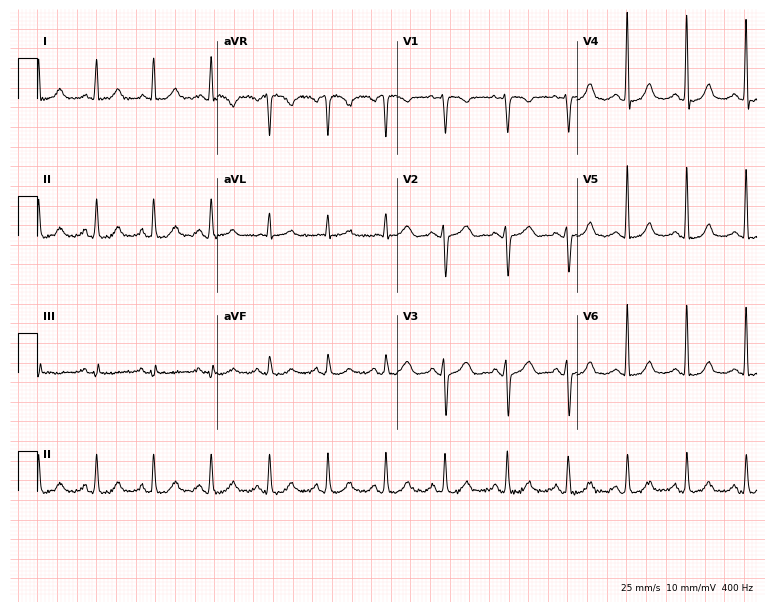
12-lead ECG from a female, 44 years old. Recorded interpretation: within normal limits.